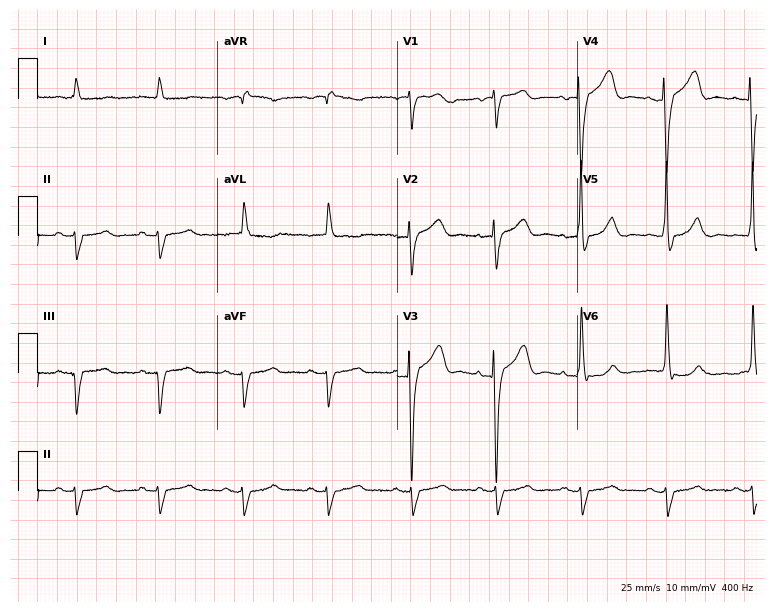
Resting 12-lead electrocardiogram (7.3-second recording at 400 Hz). Patient: a male, 78 years old. None of these six findings is recorded: first-degree AV block, right bundle branch block, left bundle branch block, sinus bradycardia, atrial fibrillation, sinus tachycardia.